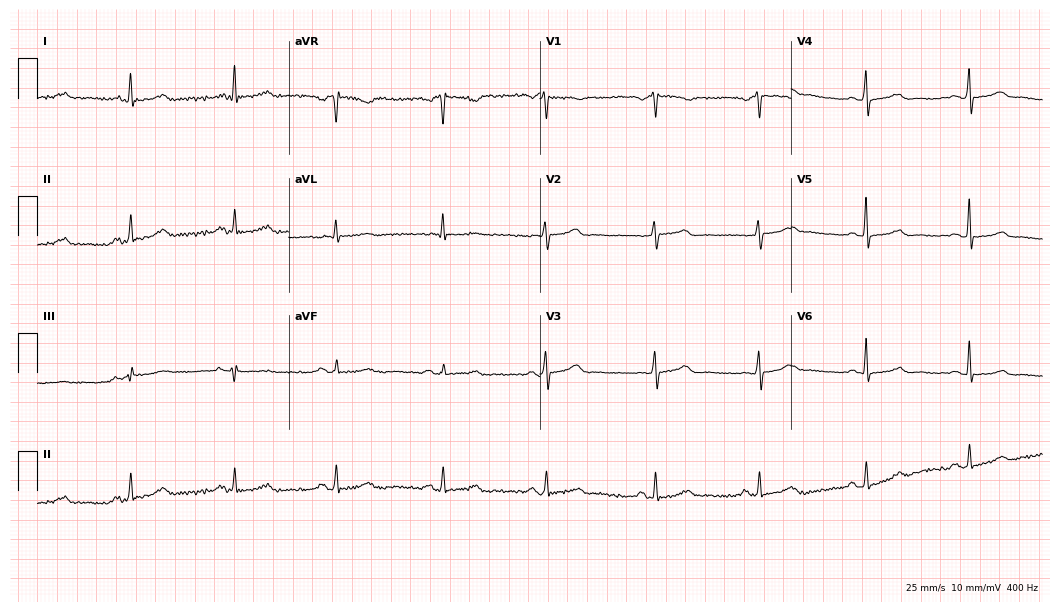
12-lead ECG from a woman, 67 years old. Recorded interpretation: within normal limits.